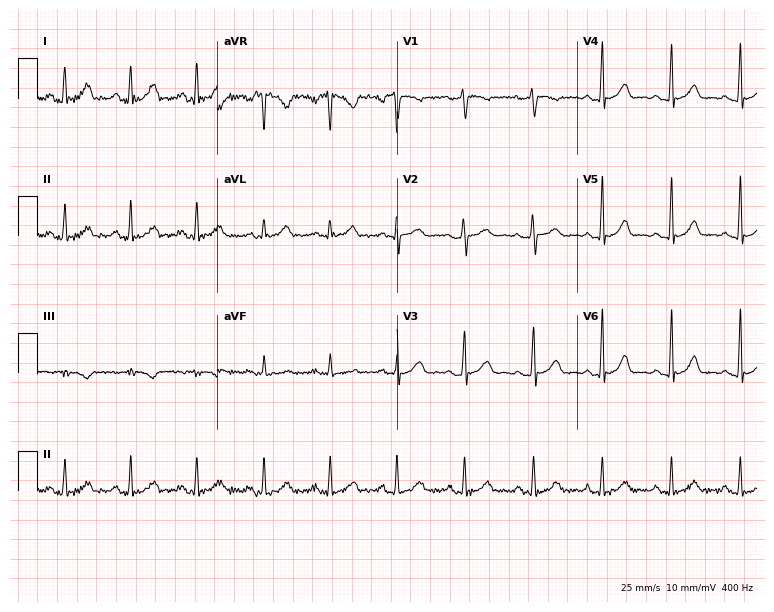
12-lead ECG from a 34-year-old female (7.3-second recording at 400 Hz). Recorded interpretation: within normal limits.